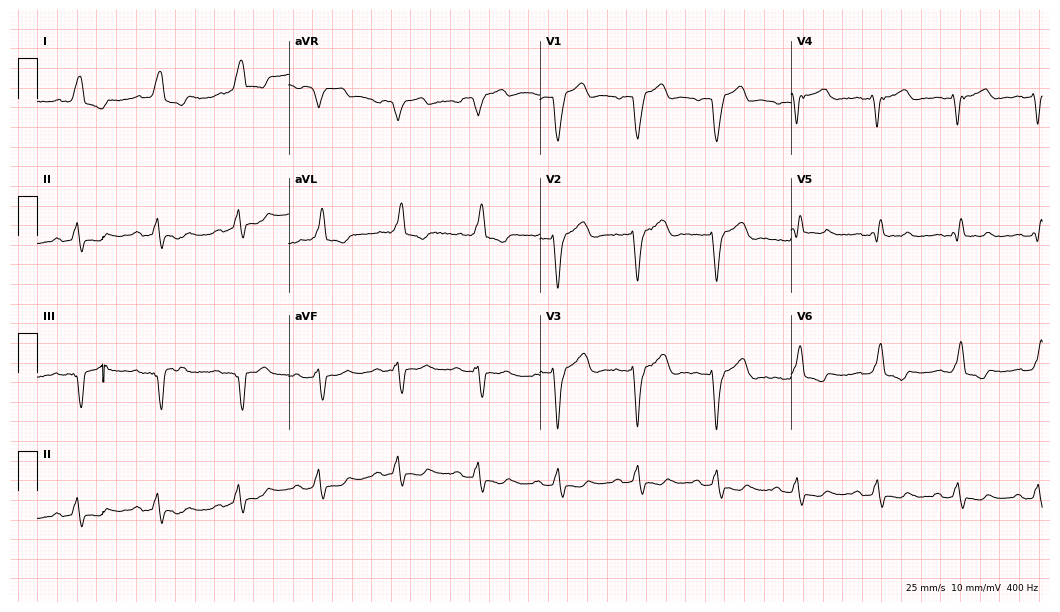
12-lead ECG (10.2-second recording at 400 Hz) from an 84-year-old male patient. Findings include left bundle branch block (LBBB).